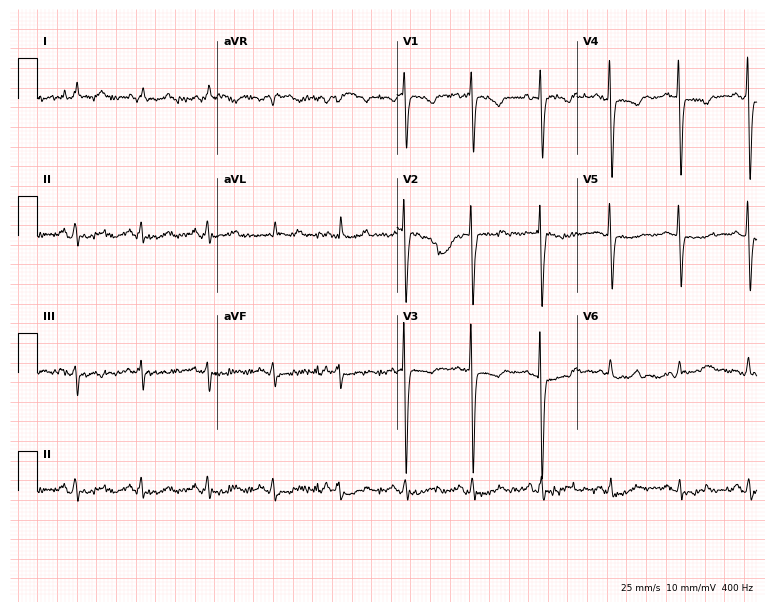
Electrocardiogram, a male patient, 76 years old. Of the six screened findings (first-degree AV block, right bundle branch block (RBBB), left bundle branch block (LBBB), sinus bradycardia, atrial fibrillation (AF), sinus tachycardia), none is recorded.